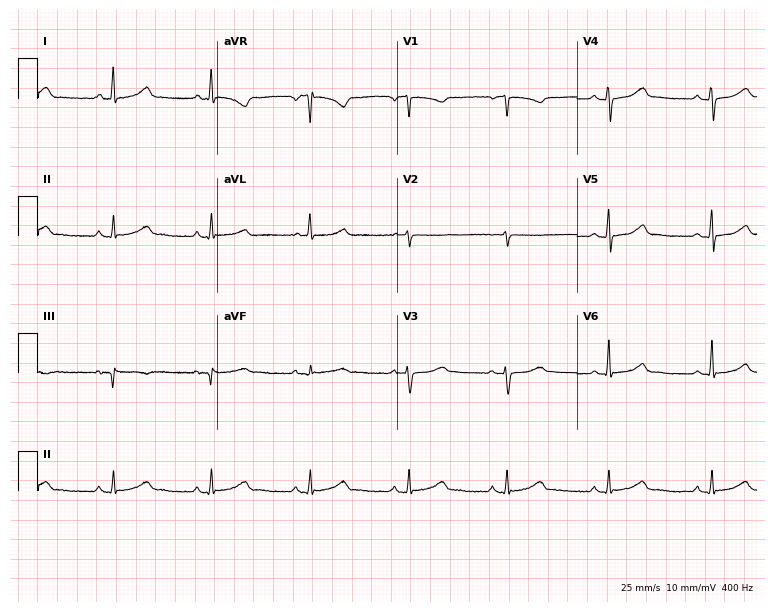
ECG — a female, 54 years old. Labelled as a normal ECG.